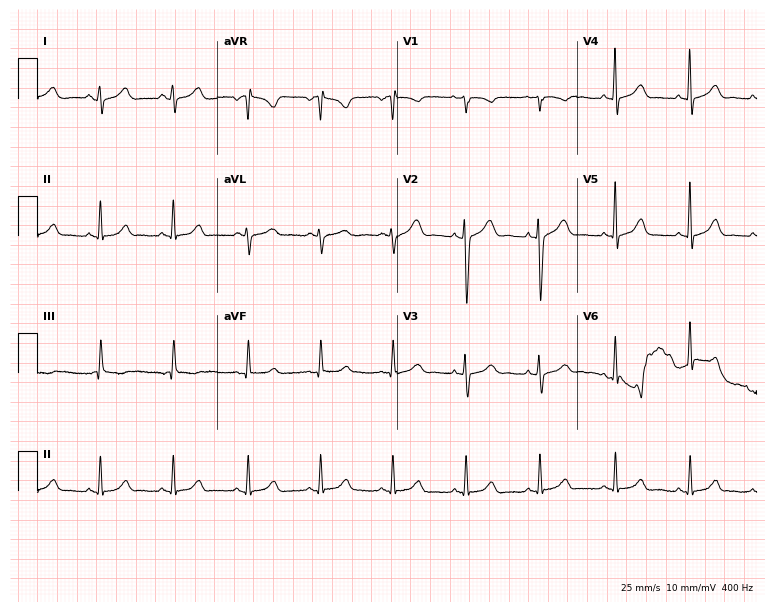
Resting 12-lead electrocardiogram. Patient: a woman, 25 years old. None of these six findings is recorded: first-degree AV block, right bundle branch block (RBBB), left bundle branch block (LBBB), sinus bradycardia, atrial fibrillation (AF), sinus tachycardia. Only these six findings were labelled.